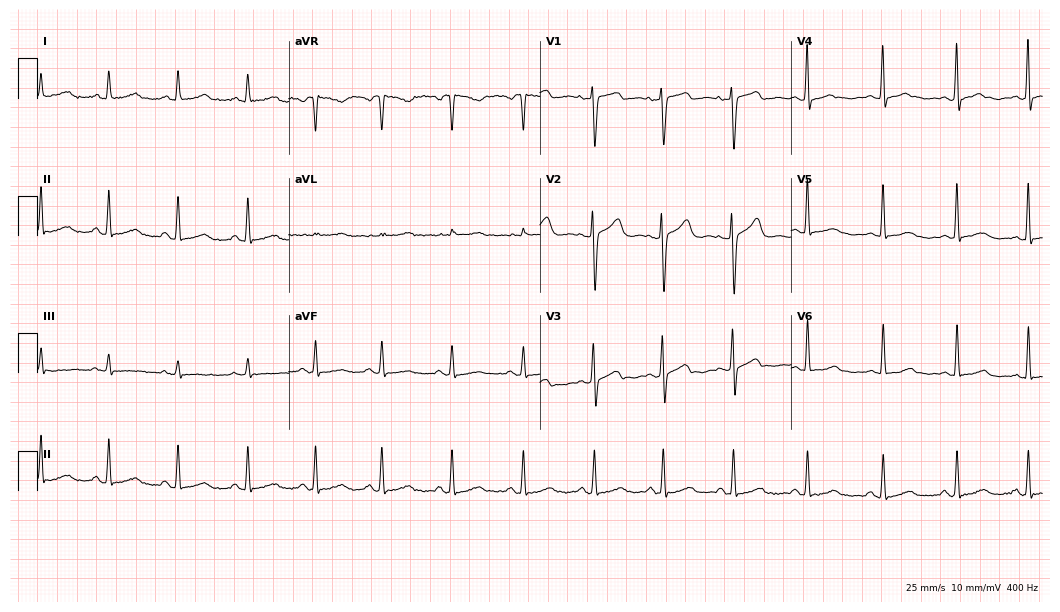
Resting 12-lead electrocardiogram. Patient: a woman, 42 years old. Read as a normal ECG.